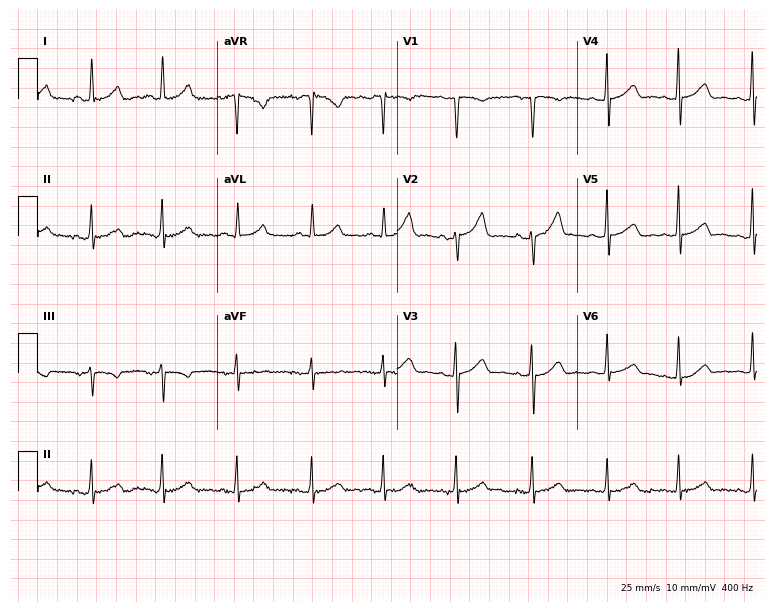
Electrocardiogram (7.3-second recording at 400 Hz), a female patient, 36 years old. Overall reading on record: normal ECG.